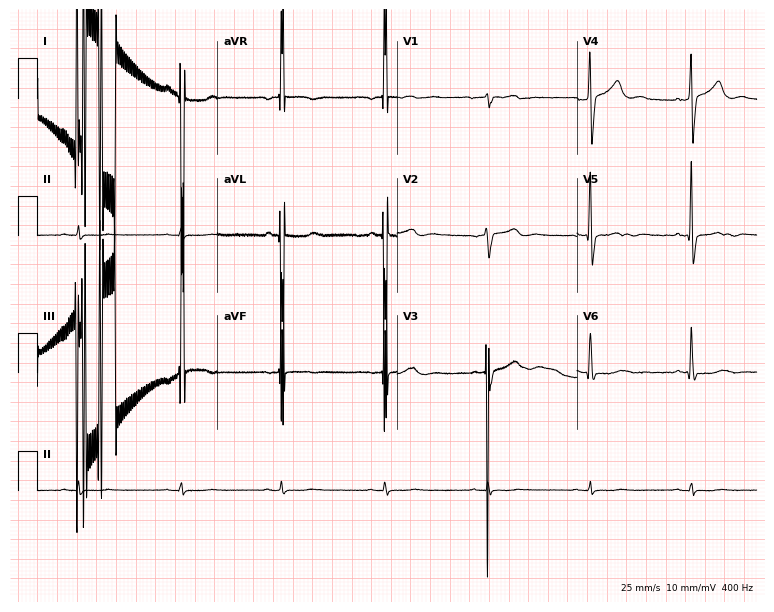
12-lead ECG (7.3-second recording at 400 Hz) from a 68-year-old man. Screened for six findings — first-degree AV block, right bundle branch block, left bundle branch block, sinus bradycardia, atrial fibrillation, sinus tachycardia — none is recorded.